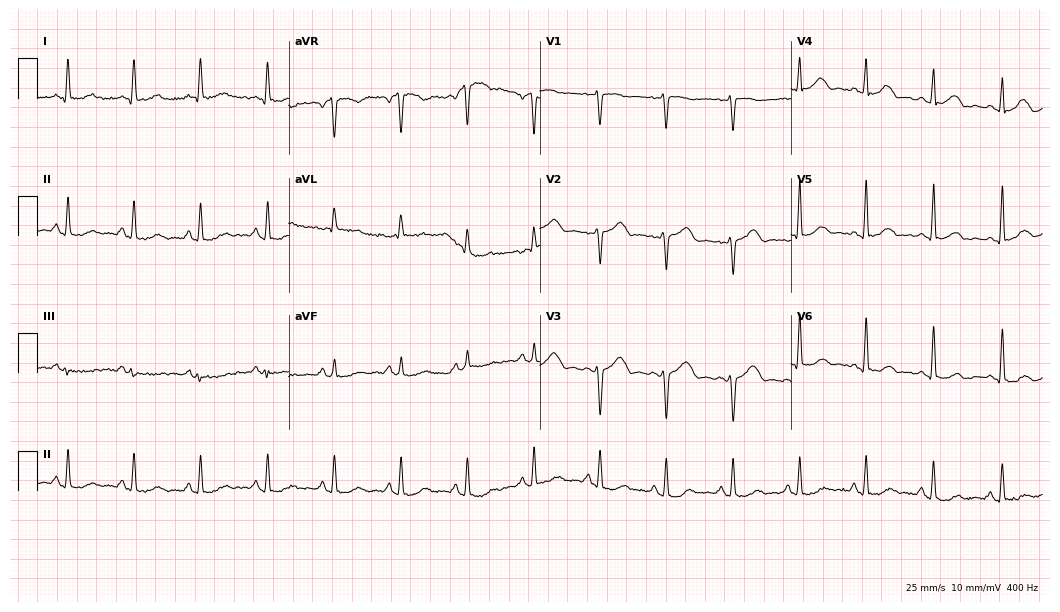
Standard 12-lead ECG recorded from a female, 38 years old (10.2-second recording at 400 Hz). Read as a normal ECG.